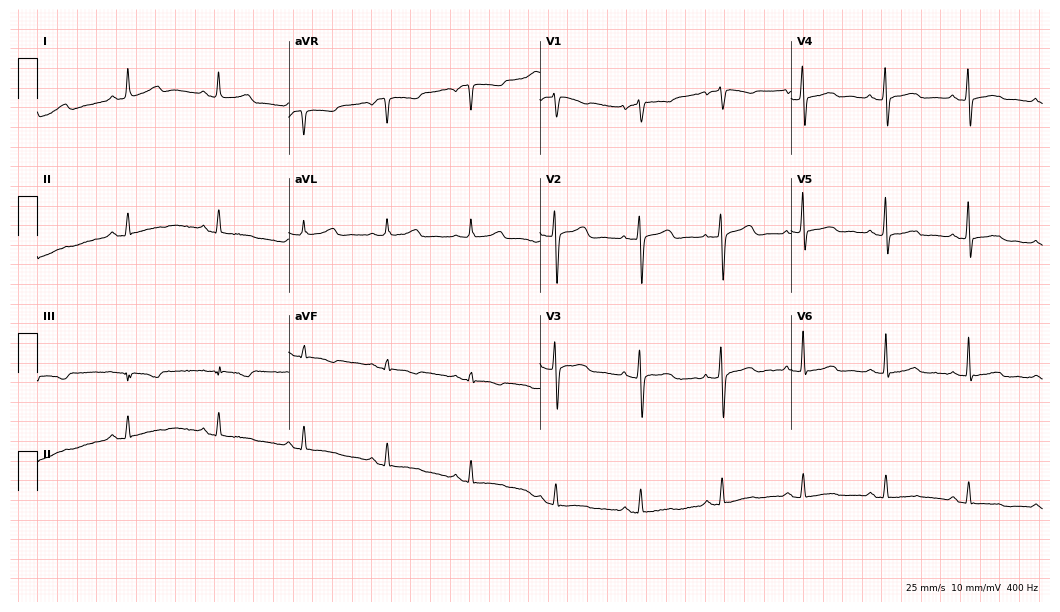
Standard 12-lead ECG recorded from a female, 62 years old. Read as a normal ECG.